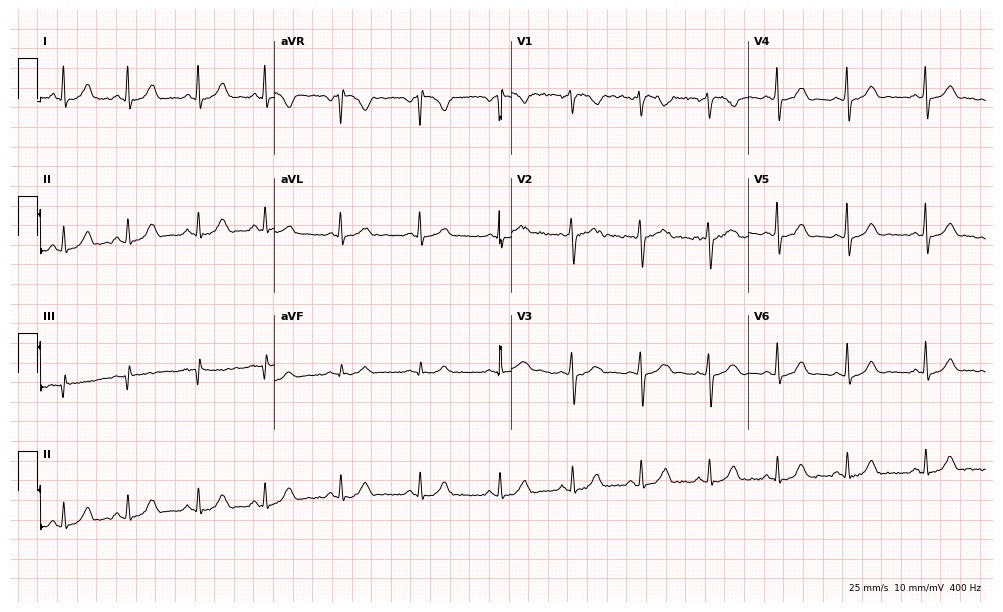
Resting 12-lead electrocardiogram. Patient: a female, 41 years old. Read as a normal ECG.